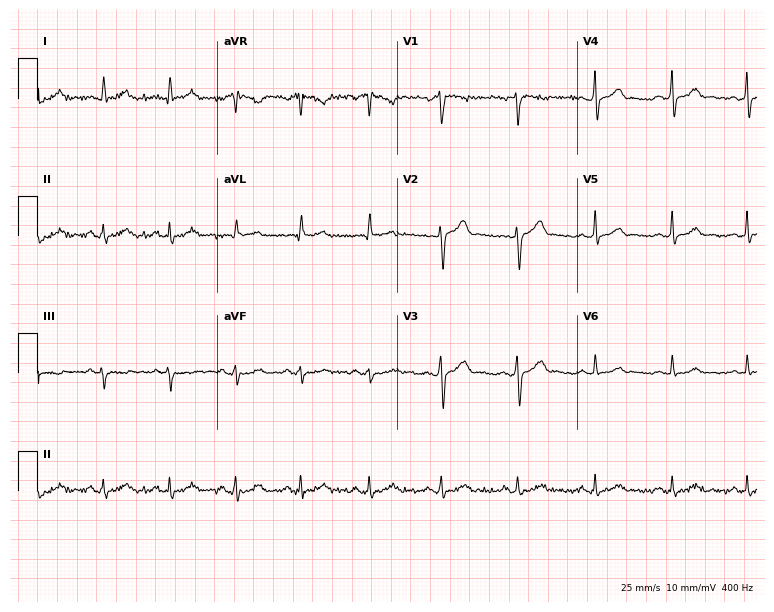
ECG (7.3-second recording at 400 Hz) — a man, 39 years old. Labelled as a normal ECG.